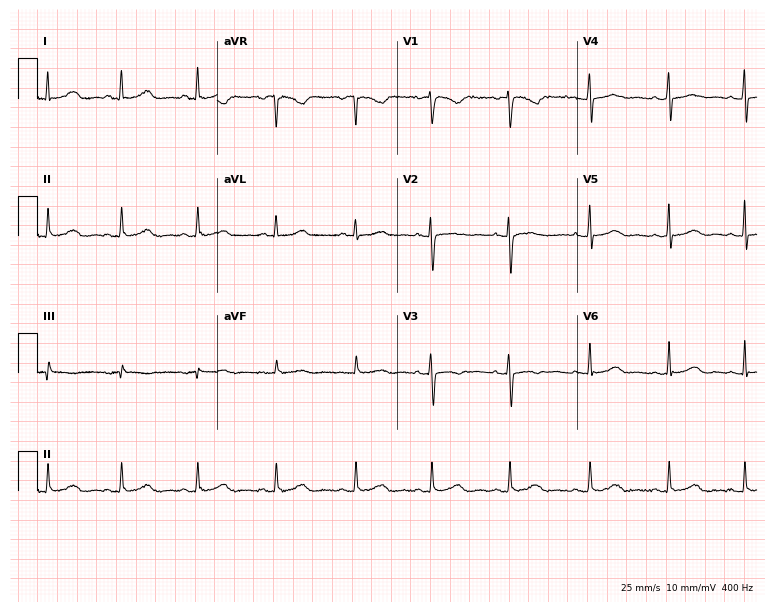
Resting 12-lead electrocardiogram (7.3-second recording at 400 Hz). Patient: a woman, 42 years old. Read as a normal ECG.